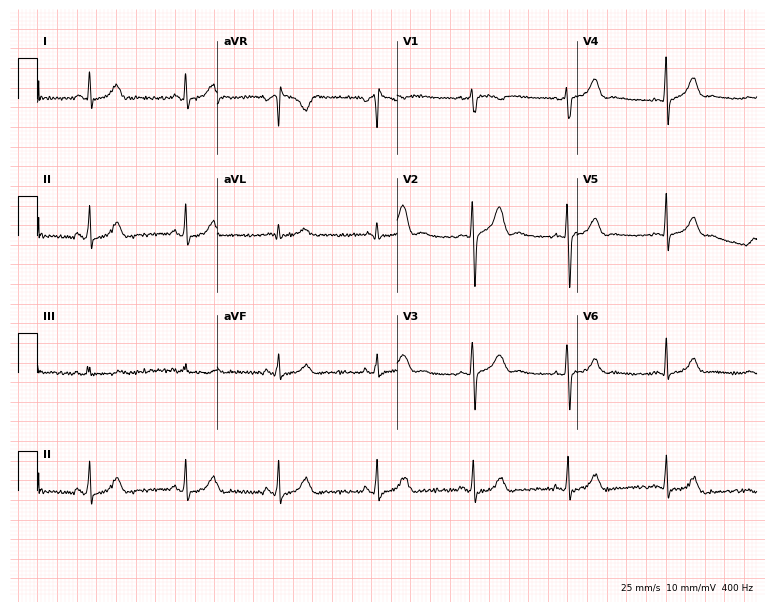
12-lead ECG from a 17-year-old female (7.3-second recording at 400 Hz). Recorded interpretation: within normal limits.